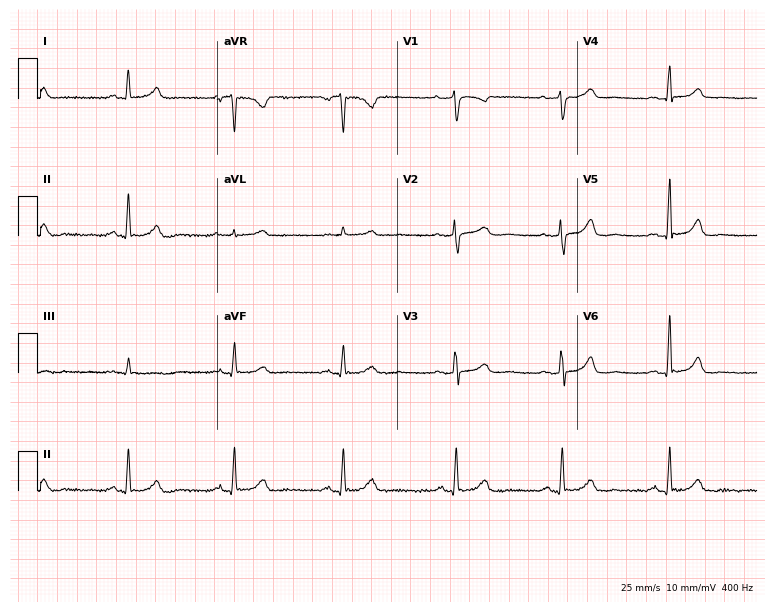
Electrocardiogram, a female, 50 years old. Overall reading on record: normal ECG.